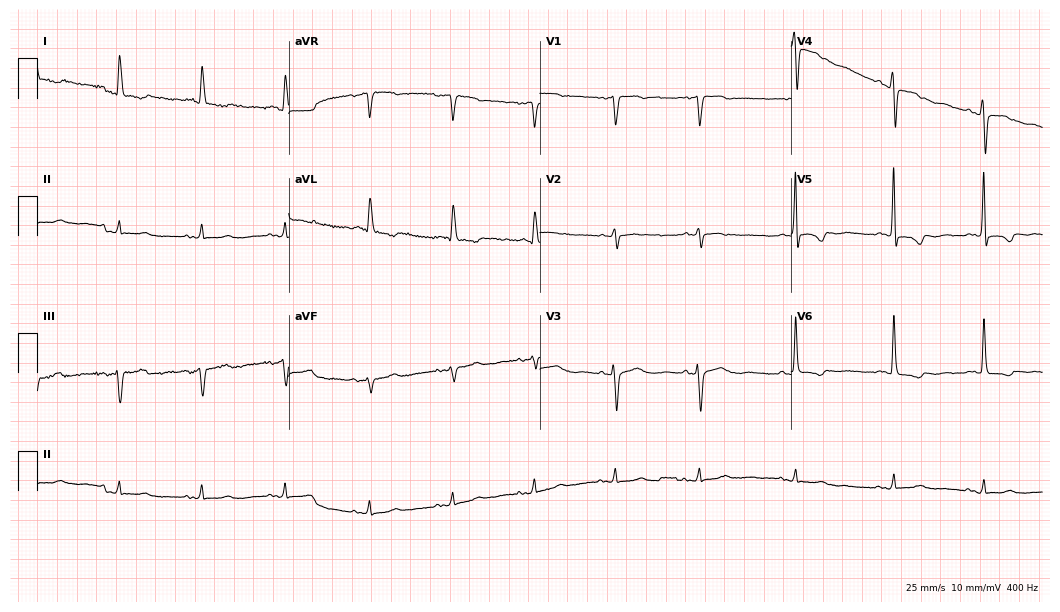
ECG — a female, 82 years old. Screened for six findings — first-degree AV block, right bundle branch block, left bundle branch block, sinus bradycardia, atrial fibrillation, sinus tachycardia — none is recorded.